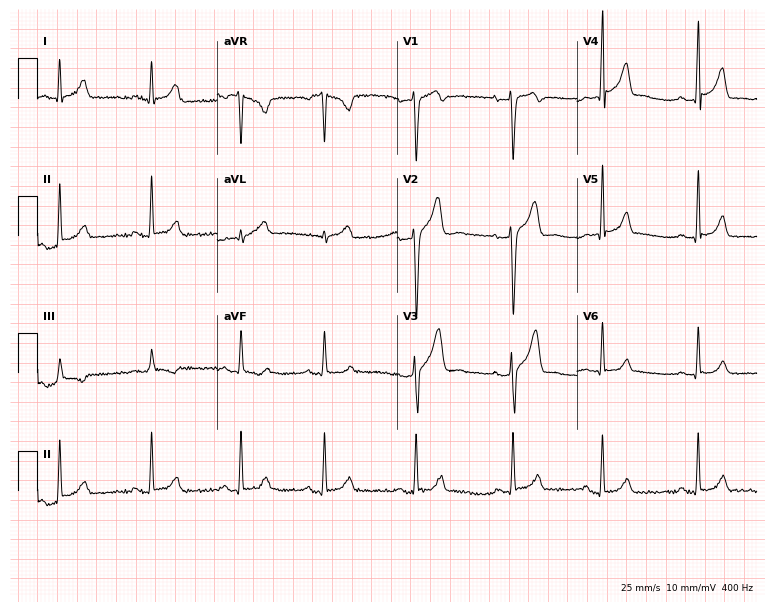
ECG — a male patient, 21 years old. Screened for six findings — first-degree AV block, right bundle branch block (RBBB), left bundle branch block (LBBB), sinus bradycardia, atrial fibrillation (AF), sinus tachycardia — none is recorded. Findings outside these six are not listed.